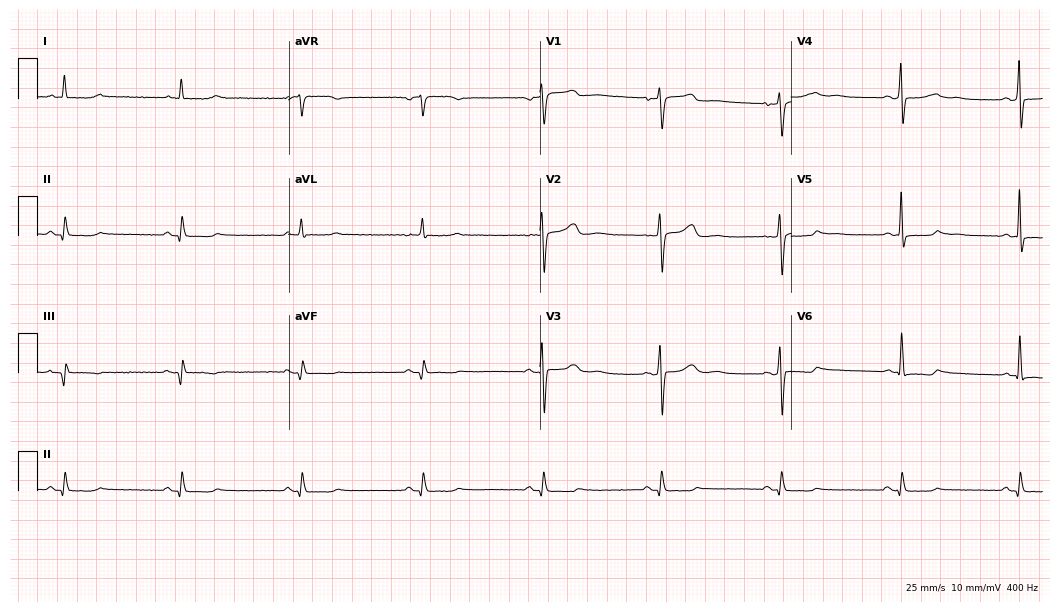
ECG — a 58-year-old woman. Labelled as a normal ECG.